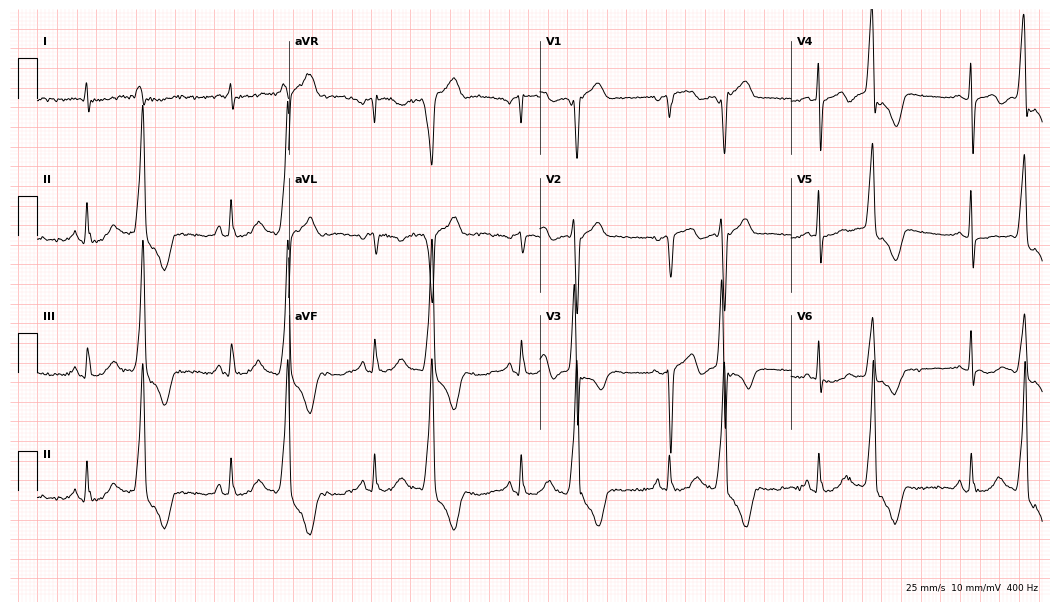
ECG — a male, 73 years old. Screened for six findings — first-degree AV block, right bundle branch block, left bundle branch block, sinus bradycardia, atrial fibrillation, sinus tachycardia — none is recorded. Findings outside these six are not listed.